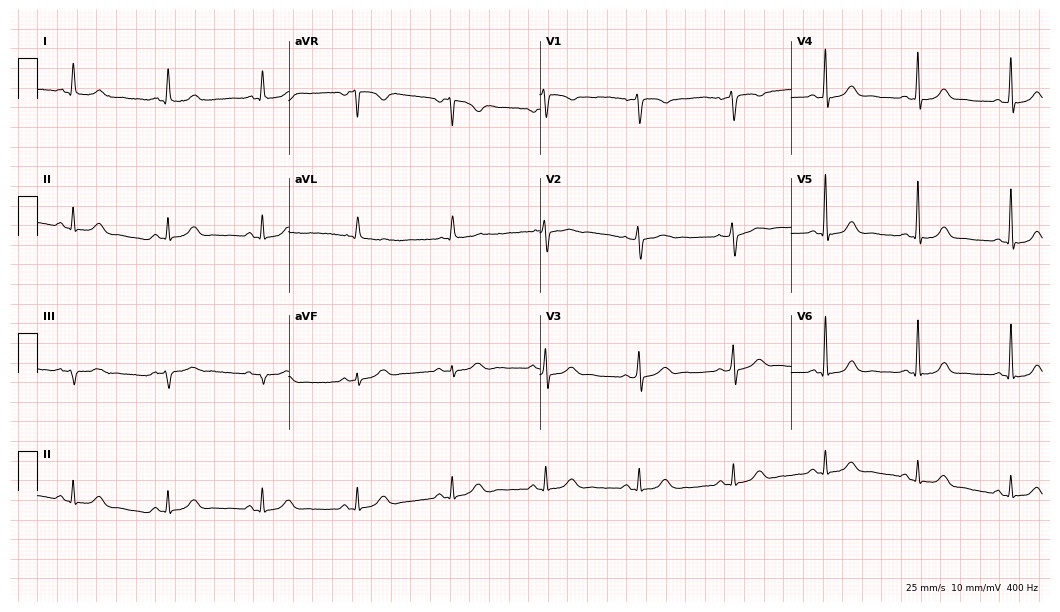
12-lead ECG from a woman, 53 years old. Recorded interpretation: within normal limits.